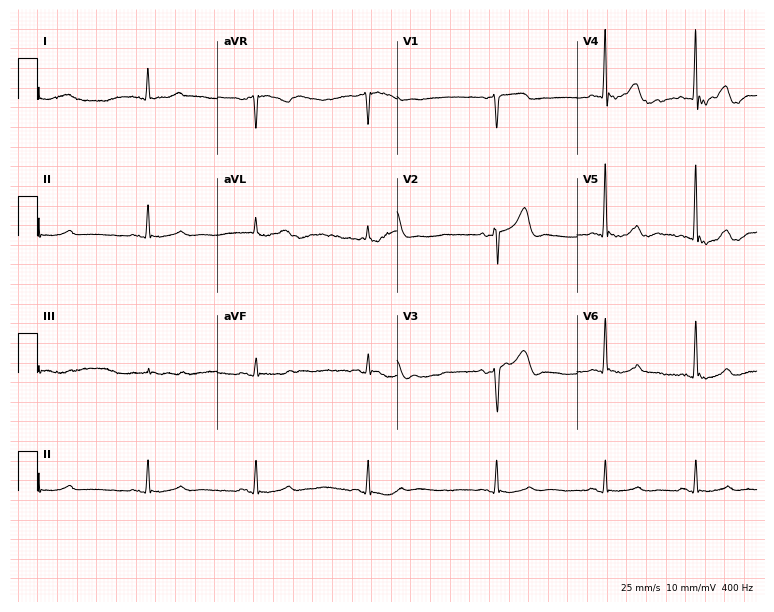
ECG (7.3-second recording at 400 Hz) — a male, 85 years old. Screened for six findings — first-degree AV block, right bundle branch block, left bundle branch block, sinus bradycardia, atrial fibrillation, sinus tachycardia — none is recorded. Only these six findings were labelled.